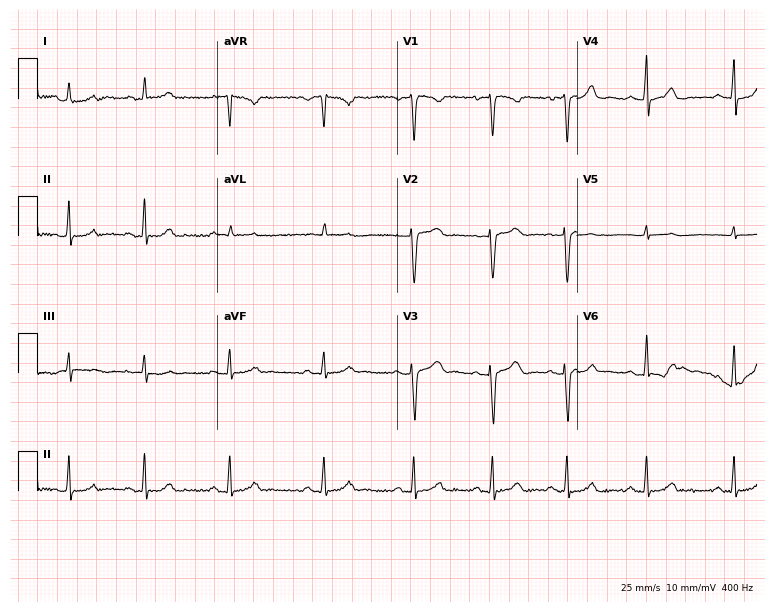
Standard 12-lead ECG recorded from a 19-year-old woman. Read as a normal ECG.